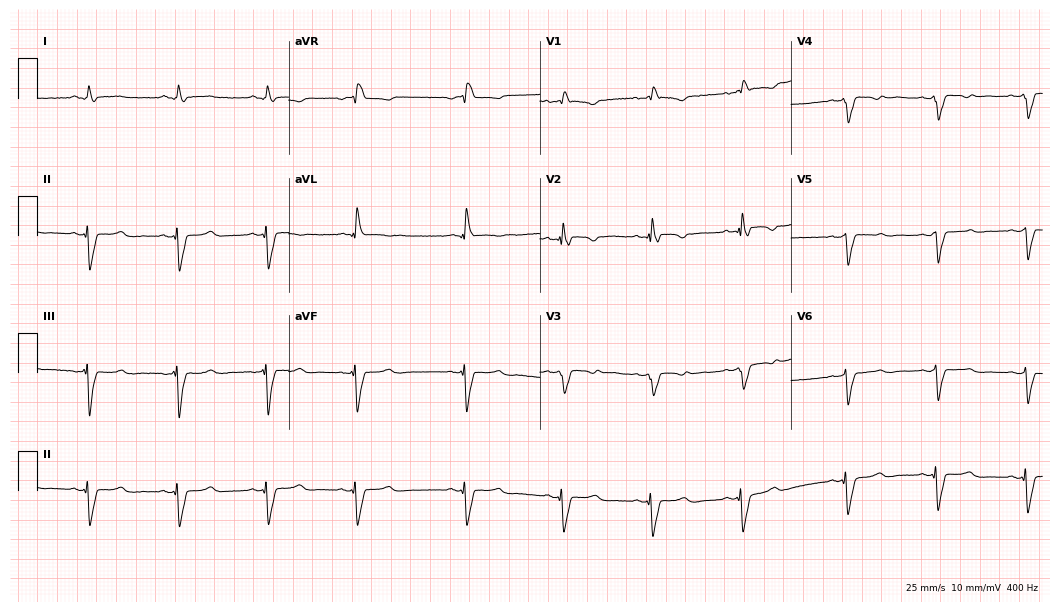
Resting 12-lead electrocardiogram. Patient: a 38-year-old woman. None of these six findings is recorded: first-degree AV block, right bundle branch block (RBBB), left bundle branch block (LBBB), sinus bradycardia, atrial fibrillation (AF), sinus tachycardia.